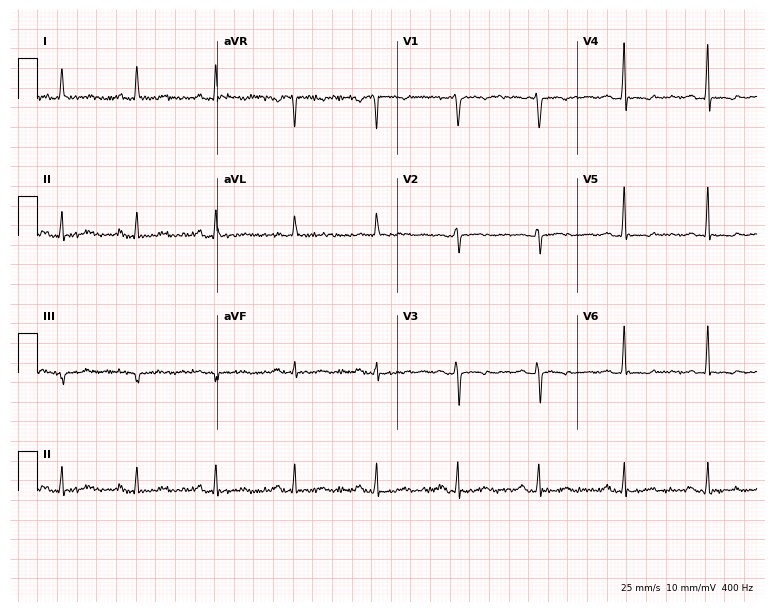
Resting 12-lead electrocardiogram. Patient: a female, 49 years old. None of these six findings is recorded: first-degree AV block, right bundle branch block, left bundle branch block, sinus bradycardia, atrial fibrillation, sinus tachycardia. Other findings, if any, are not listed.